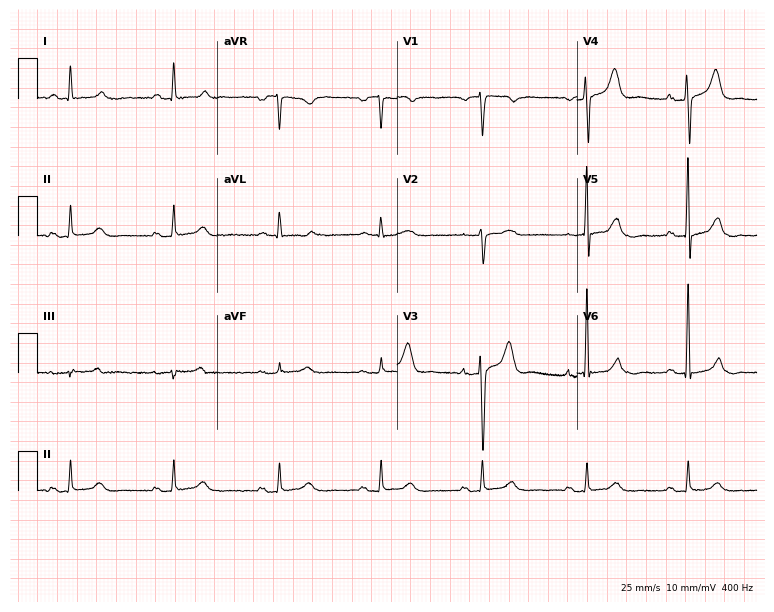
Resting 12-lead electrocardiogram (7.3-second recording at 400 Hz). Patient: a 62-year-old man. Read as a normal ECG.